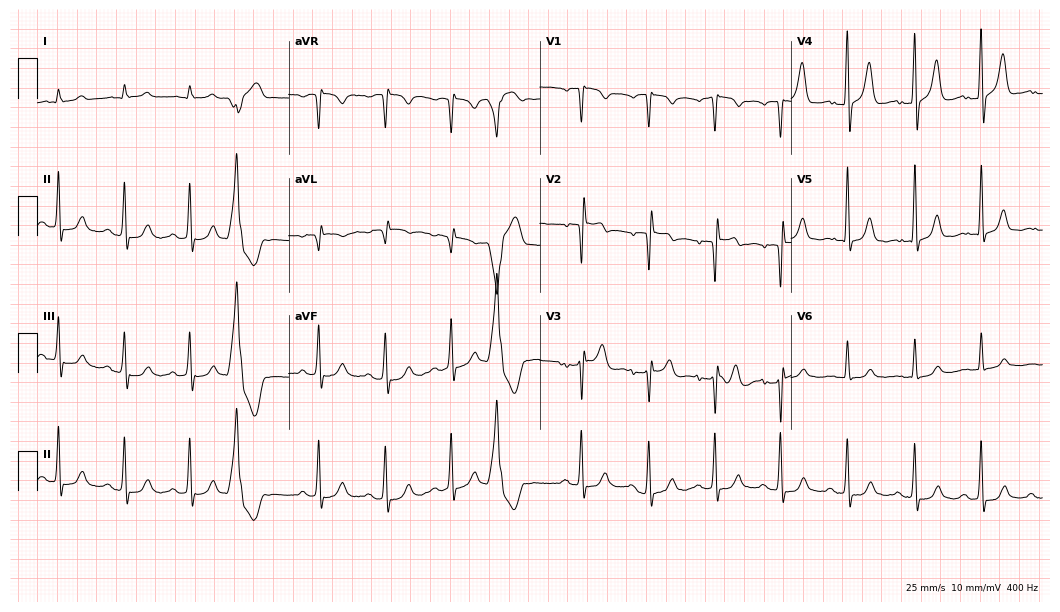
ECG (10.2-second recording at 400 Hz) — a 73-year-old man. Screened for six findings — first-degree AV block, right bundle branch block, left bundle branch block, sinus bradycardia, atrial fibrillation, sinus tachycardia — none is recorded.